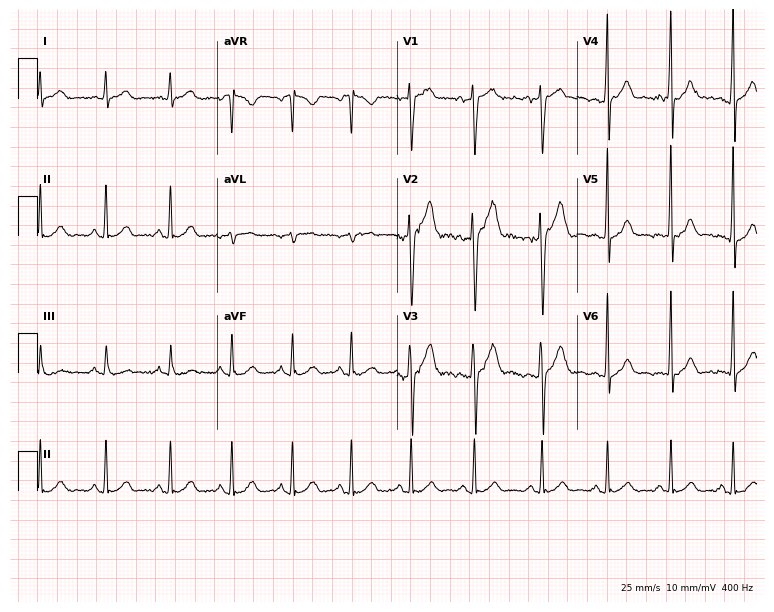
Standard 12-lead ECG recorded from a 19-year-old man. Read as a normal ECG.